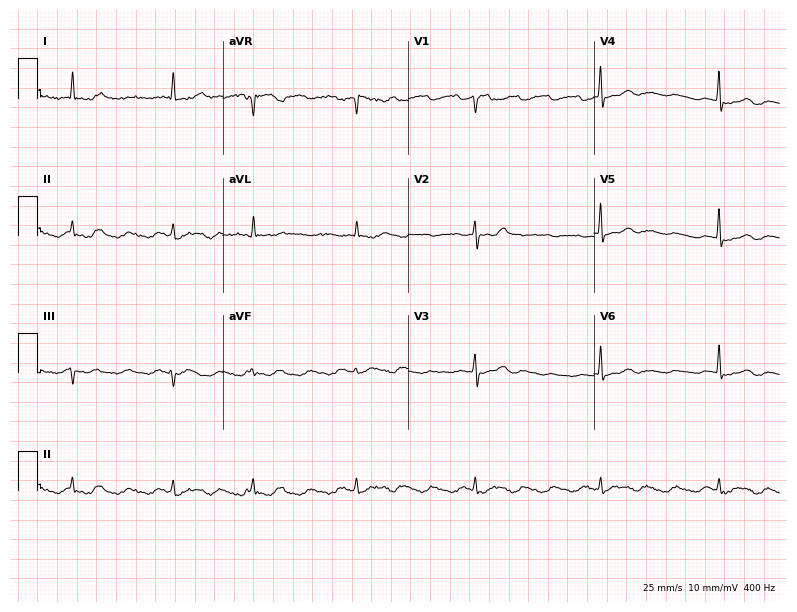
Electrocardiogram, a 75-year-old female. Of the six screened findings (first-degree AV block, right bundle branch block, left bundle branch block, sinus bradycardia, atrial fibrillation, sinus tachycardia), none is recorded. Other findings, if any, are not listed.